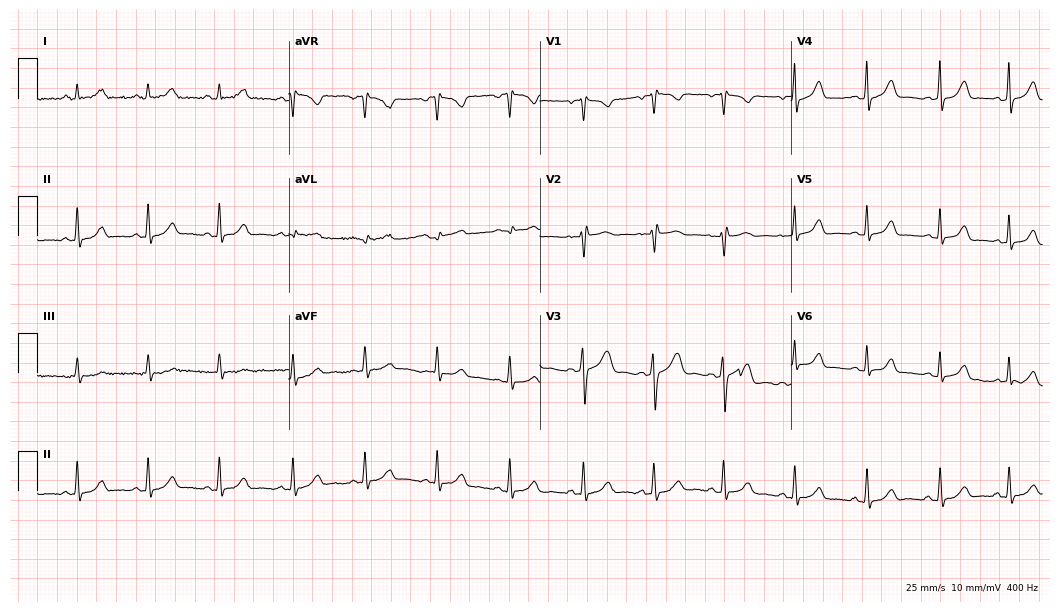
Resting 12-lead electrocardiogram. Patient: a 26-year-old female. None of these six findings is recorded: first-degree AV block, right bundle branch block, left bundle branch block, sinus bradycardia, atrial fibrillation, sinus tachycardia.